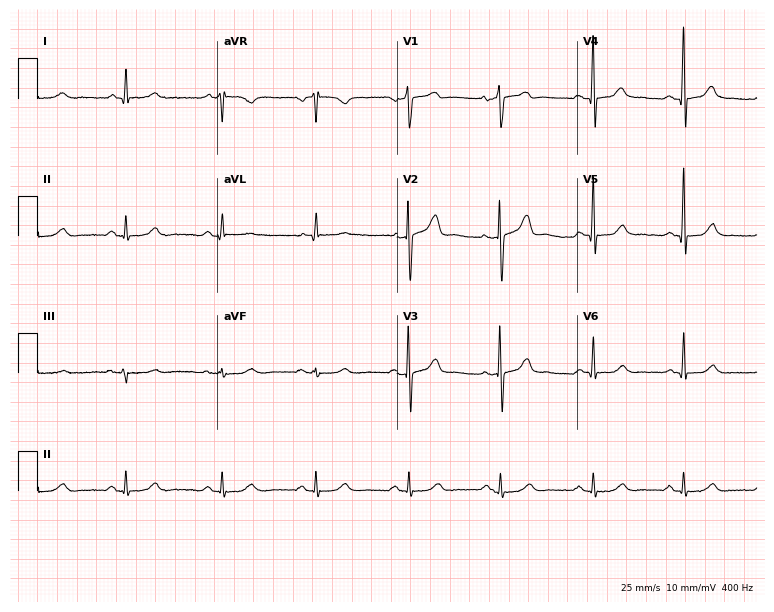
Resting 12-lead electrocardiogram (7.3-second recording at 400 Hz). Patient: a man, 64 years old. None of these six findings is recorded: first-degree AV block, right bundle branch block, left bundle branch block, sinus bradycardia, atrial fibrillation, sinus tachycardia. Only these six findings were labelled.